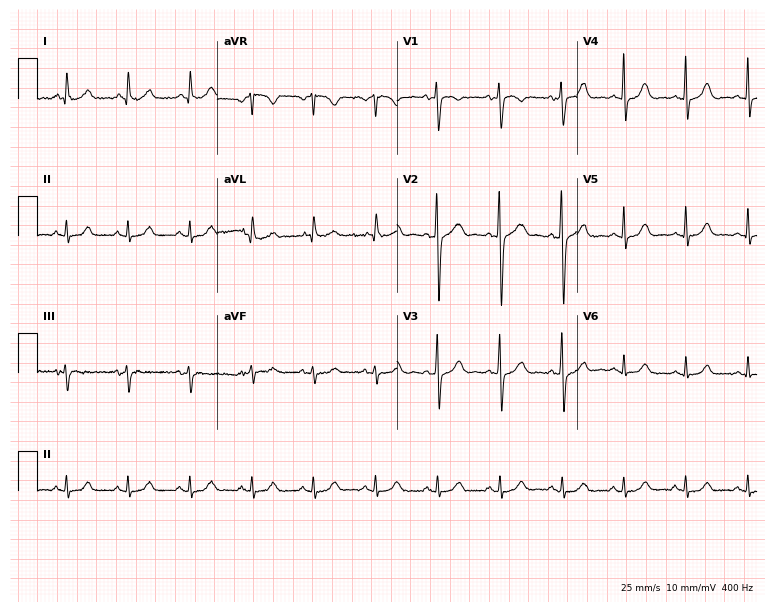
12-lead ECG from a female, 75 years old. Labelled as a normal ECG.